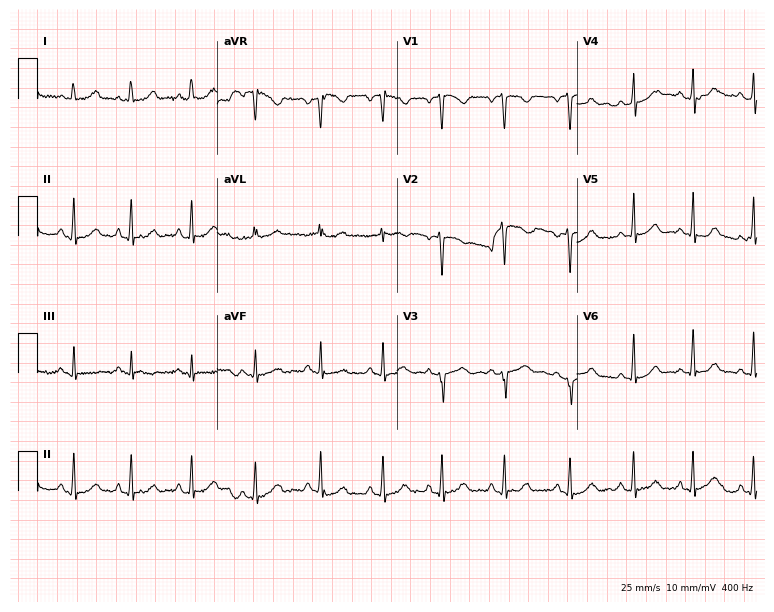
Electrocardiogram, an 18-year-old female patient. Overall reading on record: normal ECG.